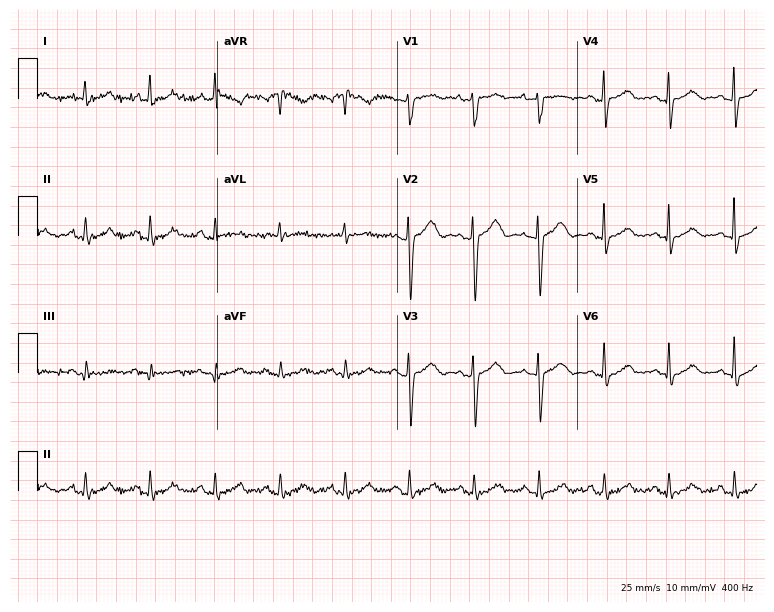
Standard 12-lead ECG recorded from a 63-year-old female. None of these six findings is recorded: first-degree AV block, right bundle branch block (RBBB), left bundle branch block (LBBB), sinus bradycardia, atrial fibrillation (AF), sinus tachycardia. Other findings, if any, are not listed.